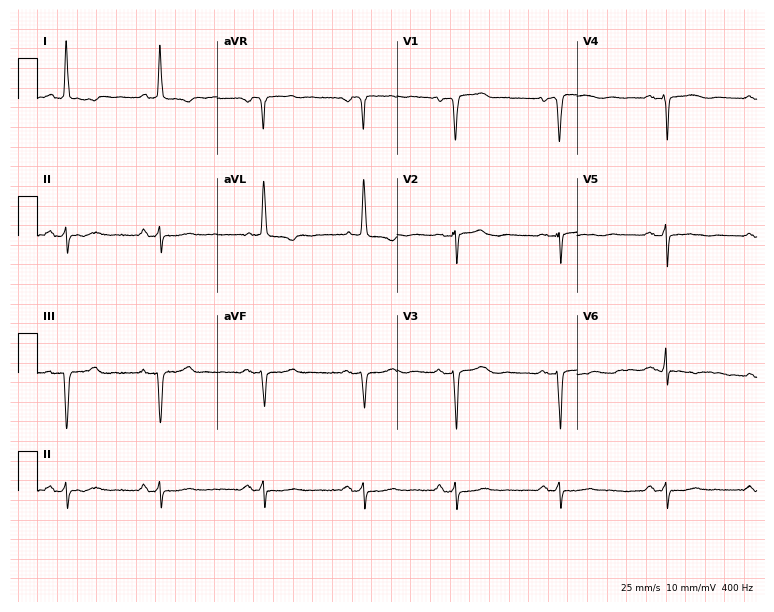
12-lead ECG from a female, 69 years old. Screened for six findings — first-degree AV block, right bundle branch block, left bundle branch block, sinus bradycardia, atrial fibrillation, sinus tachycardia — none is recorded. Only these six findings were labelled.